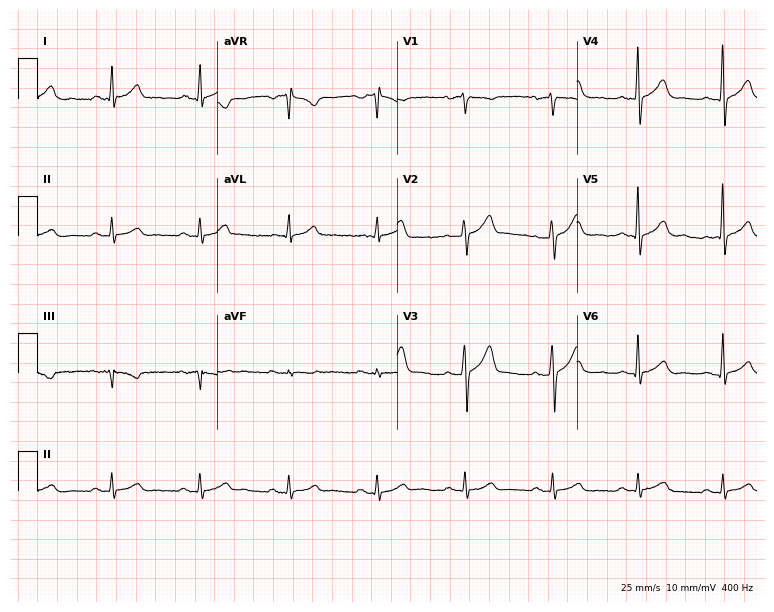
ECG — a 46-year-old man. Labelled as a normal ECG.